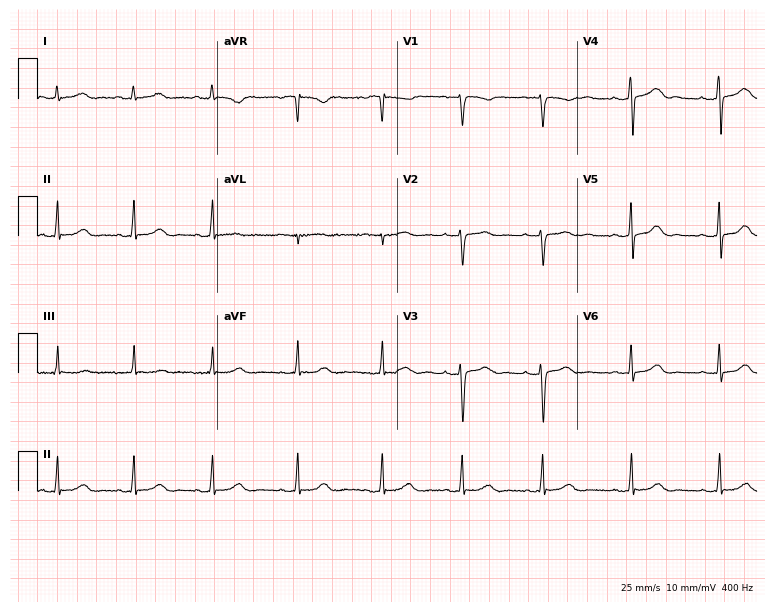
Standard 12-lead ECG recorded from a female, 27 years old. Read as a normal ECG.